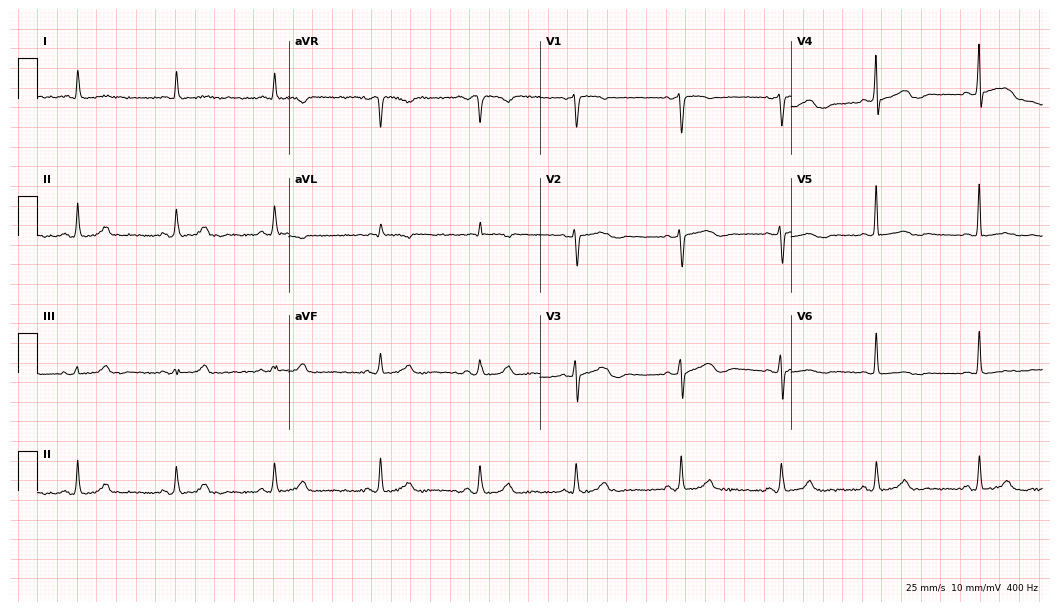
Electrocardiogram, a female, 76 years old. Of the six screened findings (first-degree AV block, right bundle branch block, left bundle branch block, sinus bradycardia, atrial fibrillation, sinus tachycardia), none is recorded.